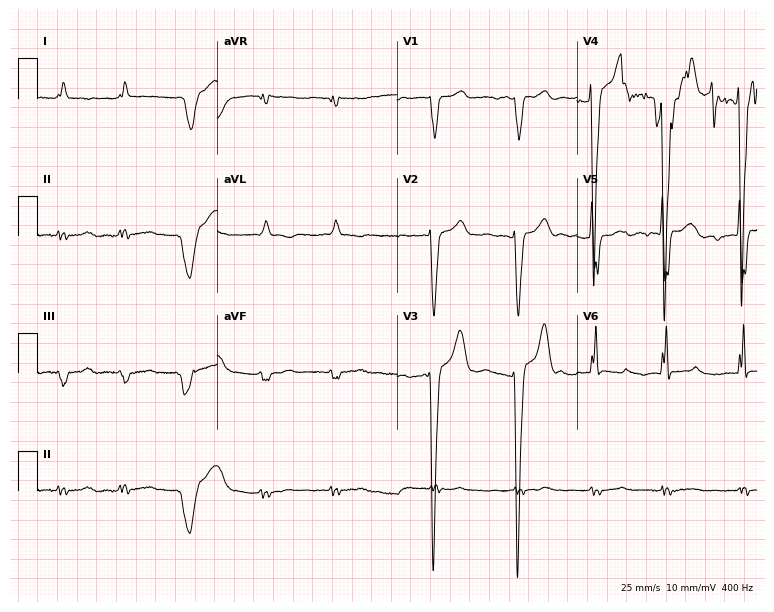
Resting 12-lead electrocardiogram (7.3-second recording at 400 Hz). Patient: an 84-year-old male. The tracing shows left bundle branch block, atrial fibrillation.